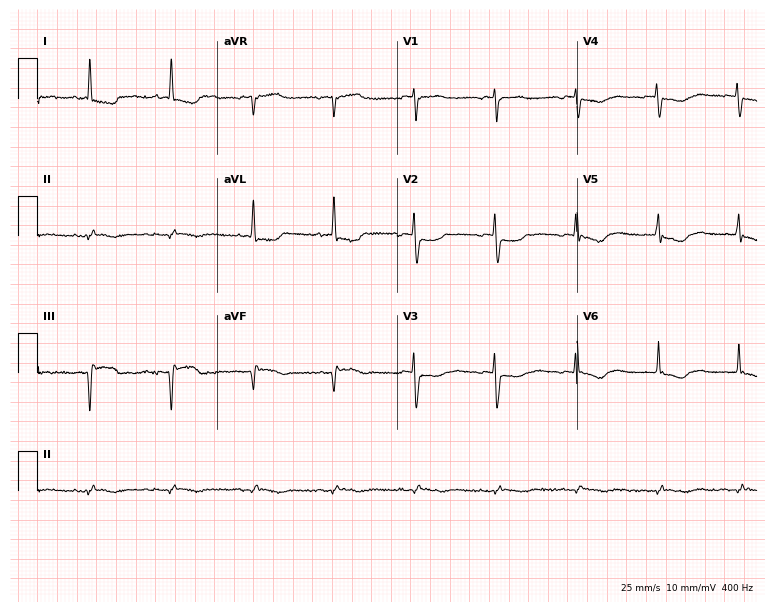
Resting 12-lead electrocardiogram. Patient: an 84-year-old female. None of these six findings is recorded: first-degree AV block, right bundle branch block (RBBB), left bundle branch block (LBBB), sinus bradycardia, atrial fibrillation (AF), sinus tachycardia.